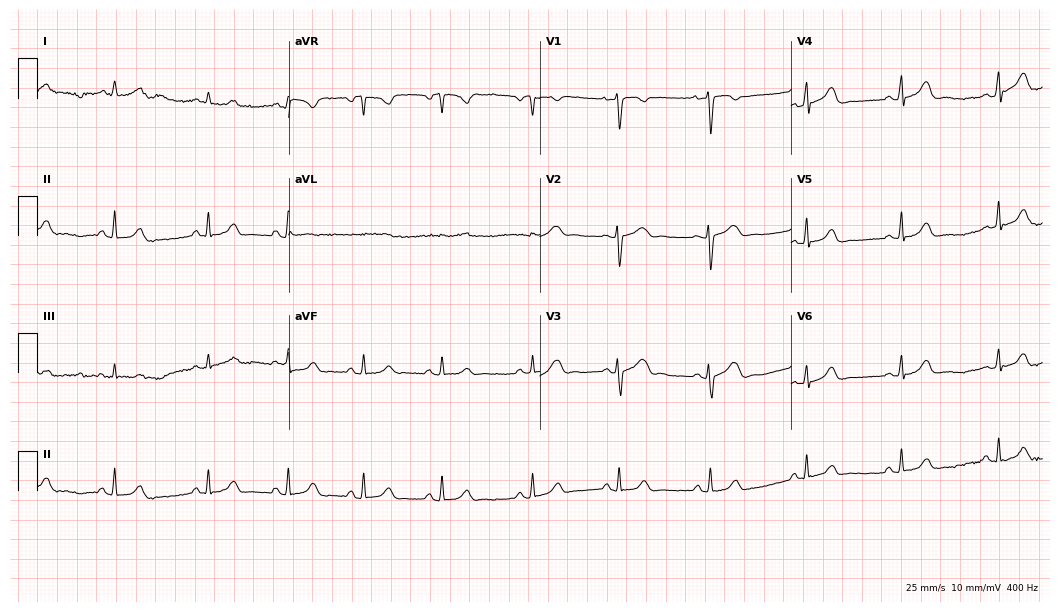
Resting 12-lead electrocardiogram. Patient: a female, 28 years old. Read as a normal ECG.